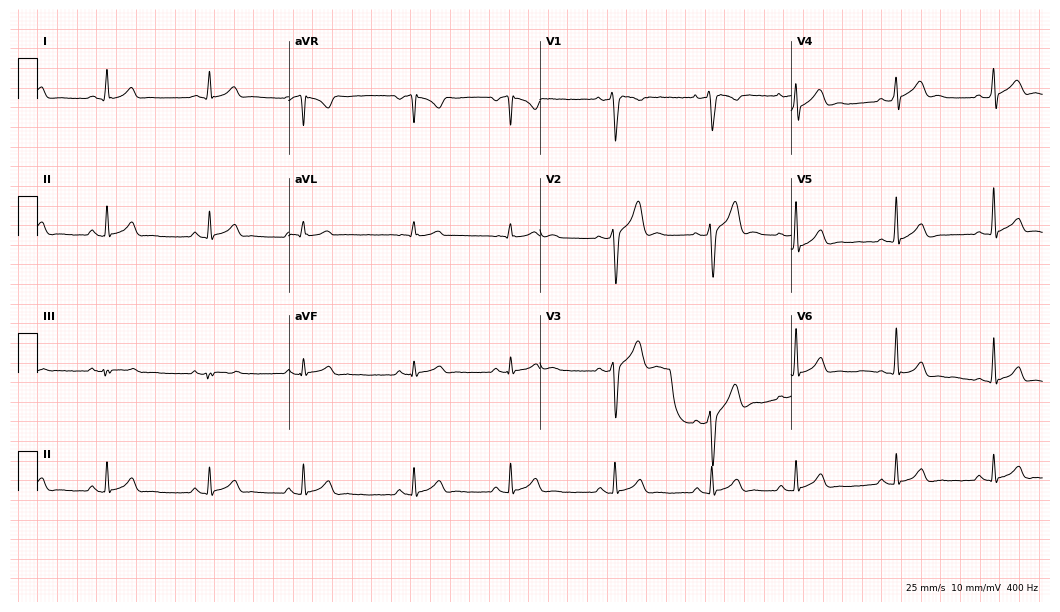
ECG — a male patient, 19 years old. Labelled as a normal ECG.